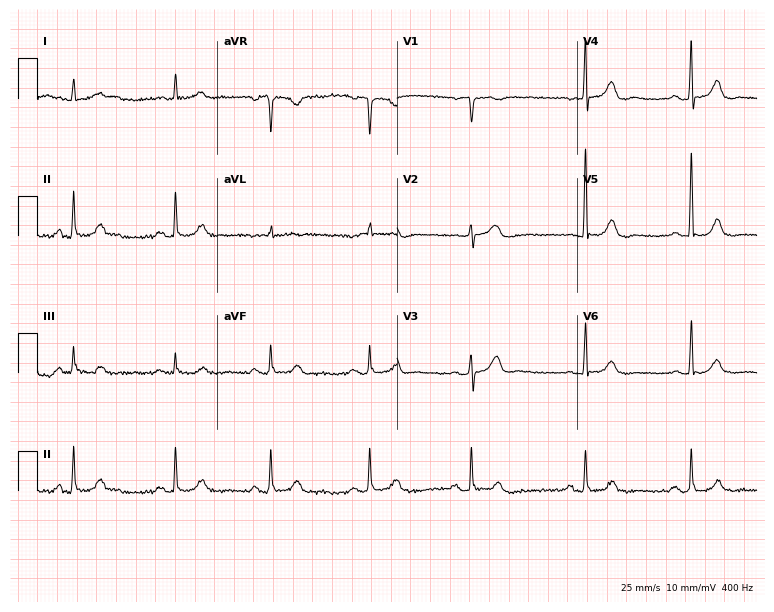
Electrocardiogram, a female, 82 years old. Overall reading on record: normal ECG.